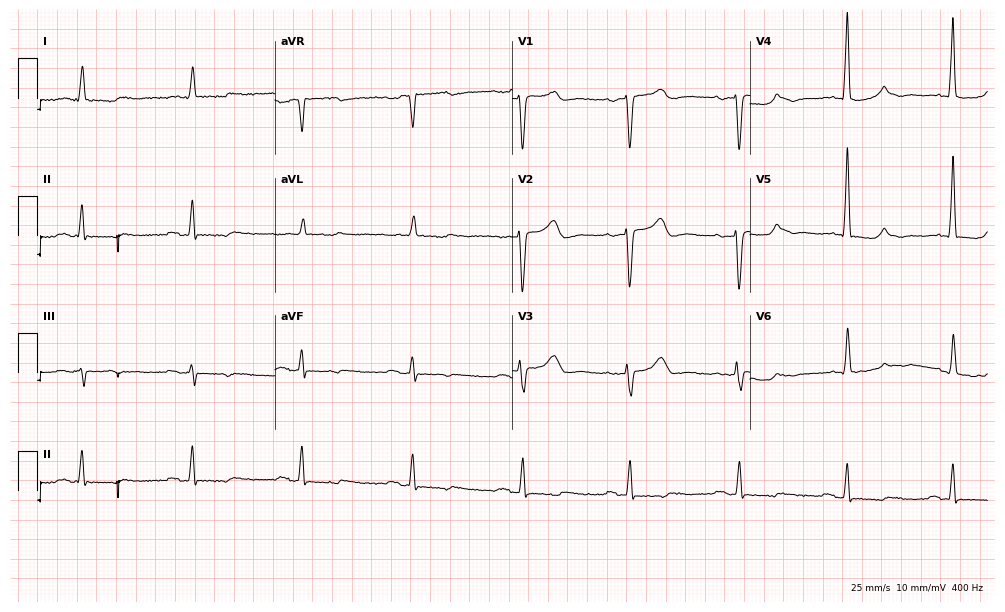
Standard 12-lead ECG recorded from a 75-year-old male (9.7-second recording at 400 Hz). None of these six findings is recorded: first-degree AV block, right bundle branch block, left bundle branch block, sinus bradycardia, atrial fibrillation, sinus tachycardia. Only these six findings were labelled.